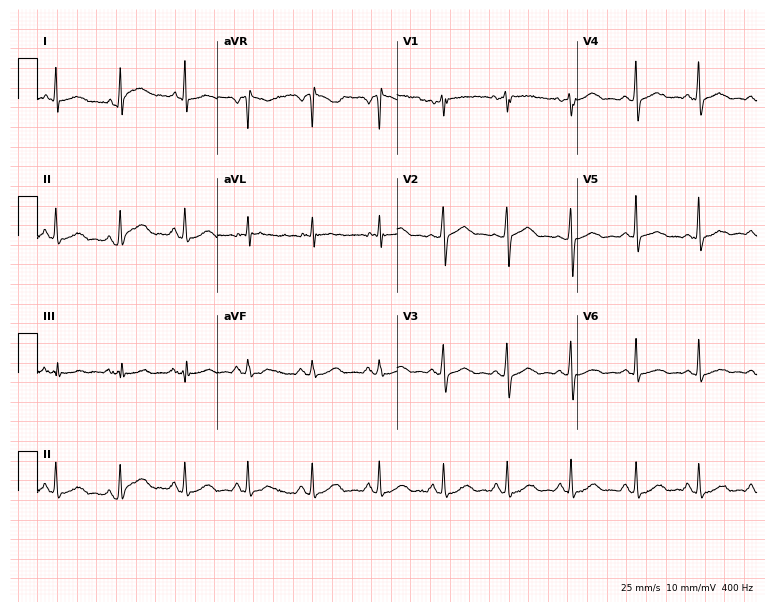
12-lead ECG from a woman, 61 years old (7.3-second recording at 400 Hz). Recorded interpretation: within normal limits.